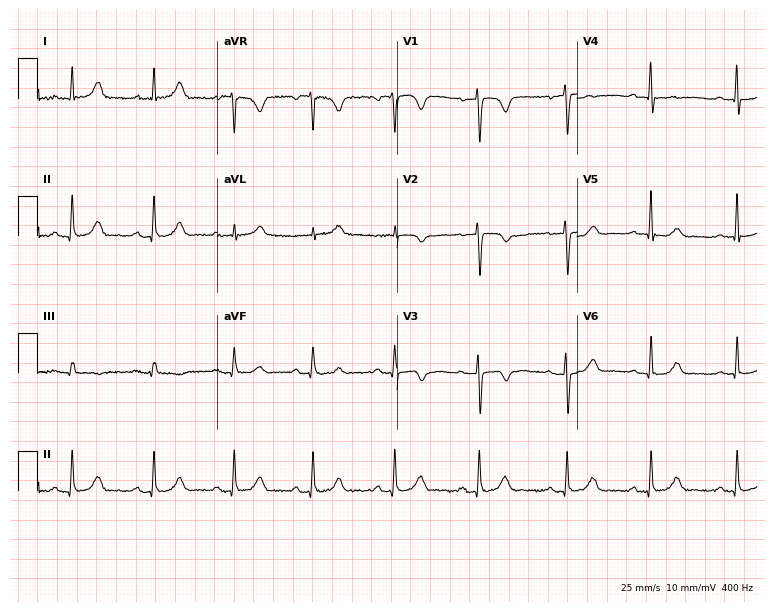
12-lead ECG from a female, 43 years old (7.3-second recording at 400 Hz). No first-degree AV block, right bundle branch block, left bundle branch block, sinus bradycardia, atrial fibrillation or sinus tachycardia recorded for this tracing.